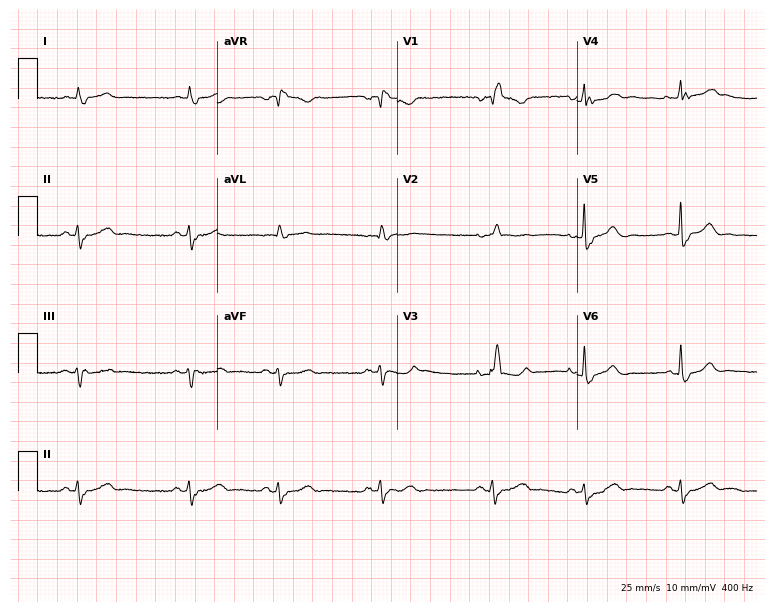
ECG — a man, 74 years old. Findings include right bundle branch block (RBBB).